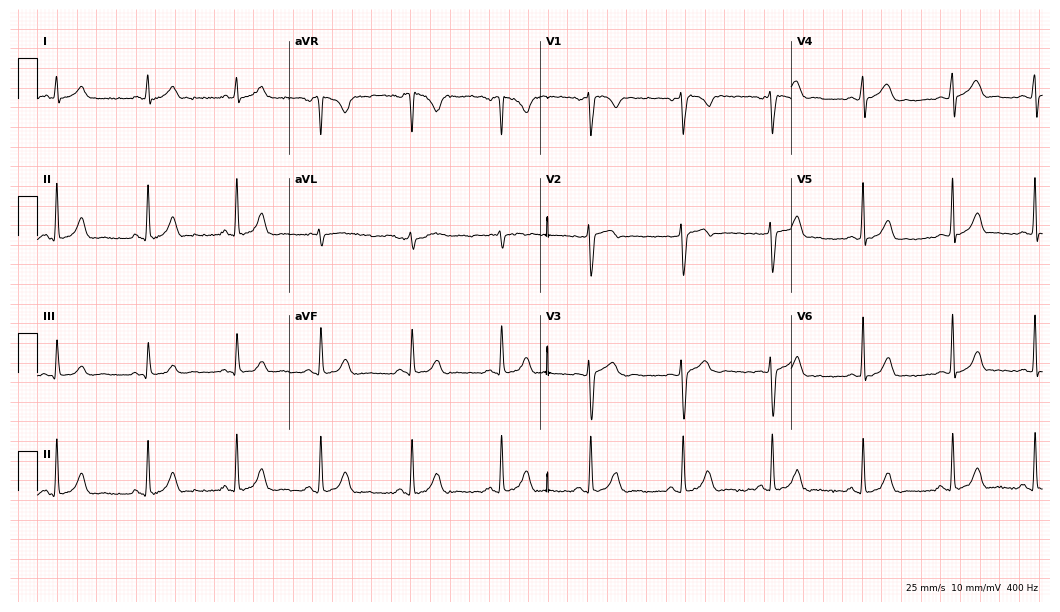
12-lead ECG (10.2-second recording at 400 Hz) from a female, 31 years old. Labelled as a normal ECG.